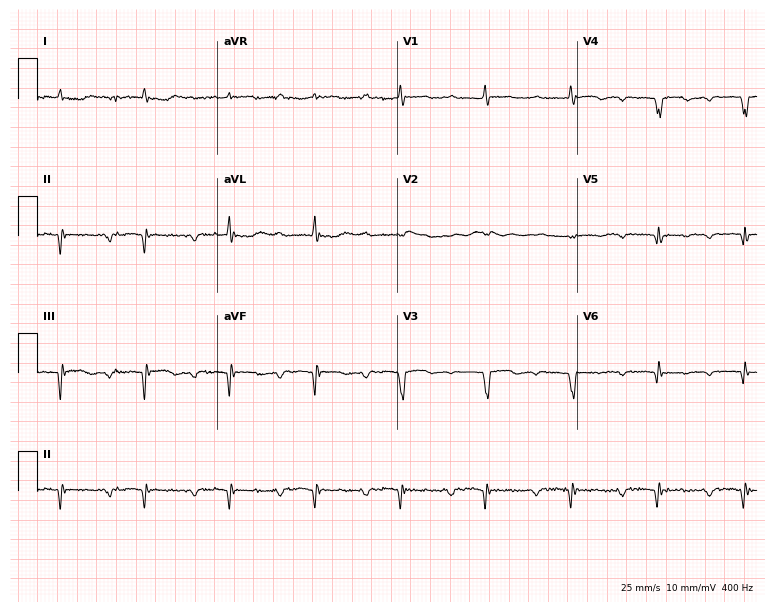
12-lead ECG from a 68-year-old man. Shows first-degree AV block.